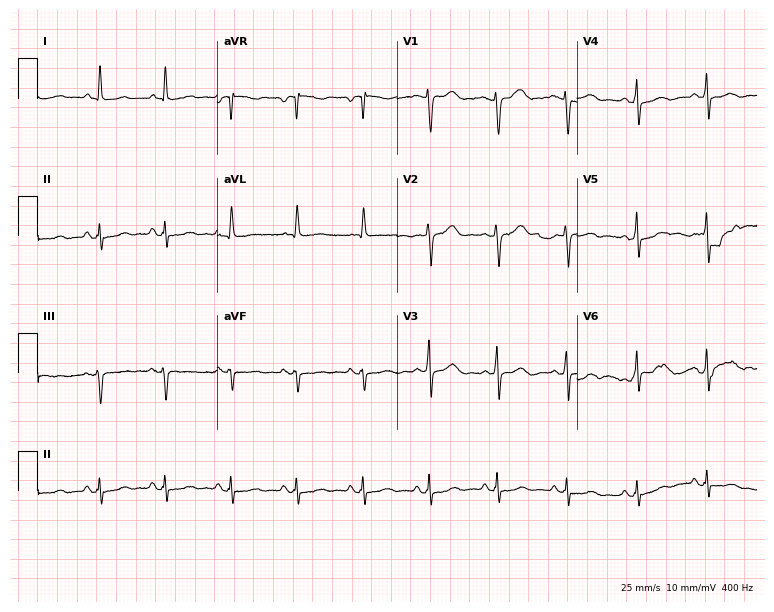
12-lead ECG from a female patient, 56 years old (7.3-second recording at 400 Hz). No first-degree AV block, right bundle branch block, left bundle branch block, sinus bradycardia, atrial fibrillation or sinus tachycardia recorded for this tracing.